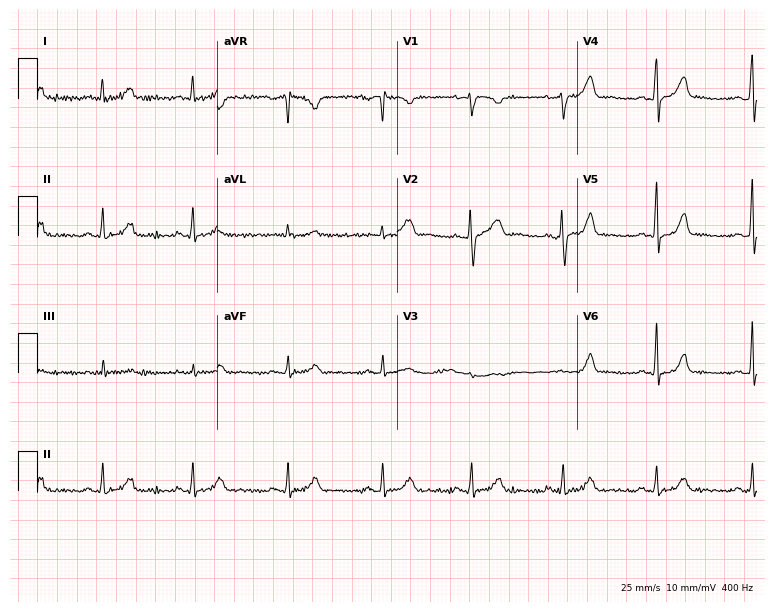
Resting 12-lead electrocardiogram (7.3-second recording at 400 Hz). Patient: a 47-year-old woman. Read as a normal ECG.